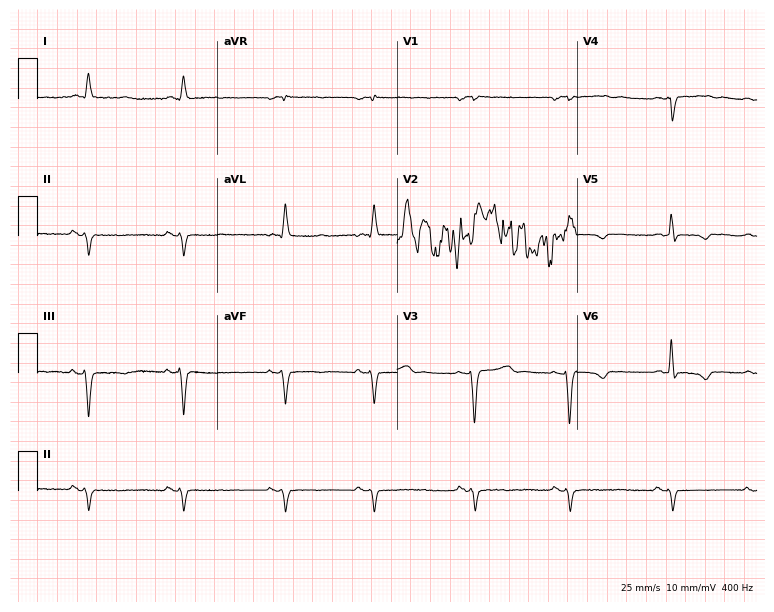
Resting 12-lead electrocardiogram (7.3-second recording at 400 Hz). Patient: a woman, 51 years old. None of these six findings is recorded: first-degree AV block, right bundle branch block, left bundle branch block, sinus bradycardia, atrial fibrillation, sinus tachycardia.